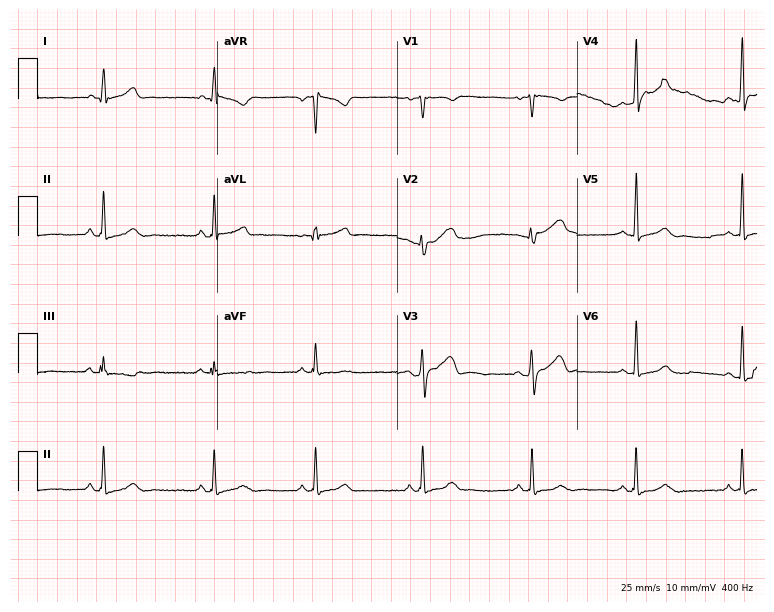
Electrocardiogram (7.3-second recording at 400 Hz), a 30-year-old male patient. Overall reading on record: normal ECG.